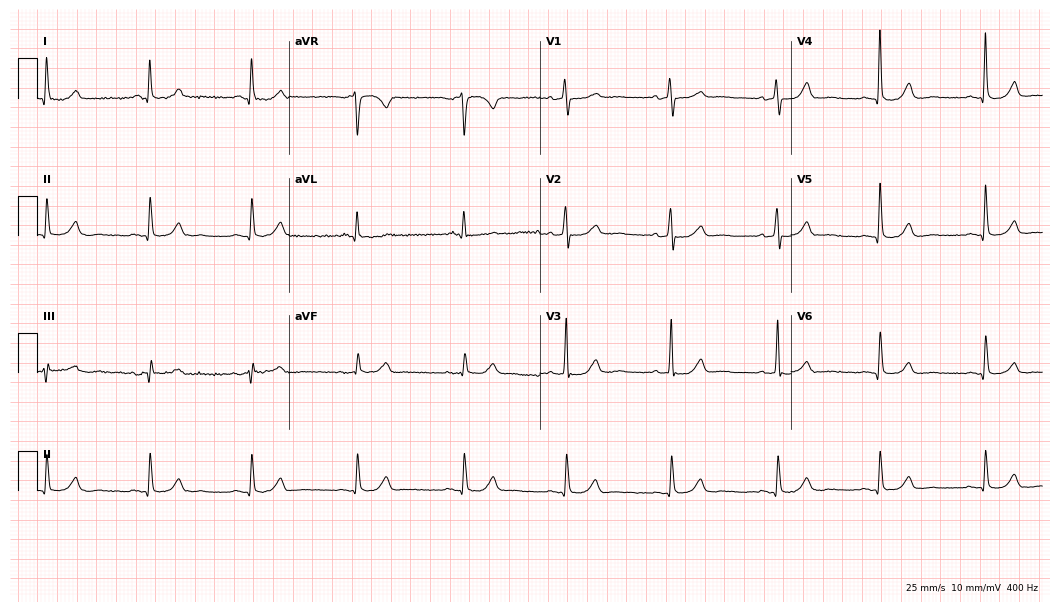
Standard 12-lead ECG recorded from a 69-year-old woman (10.2-second recording at 400 Hz). Read as a normal ECG.